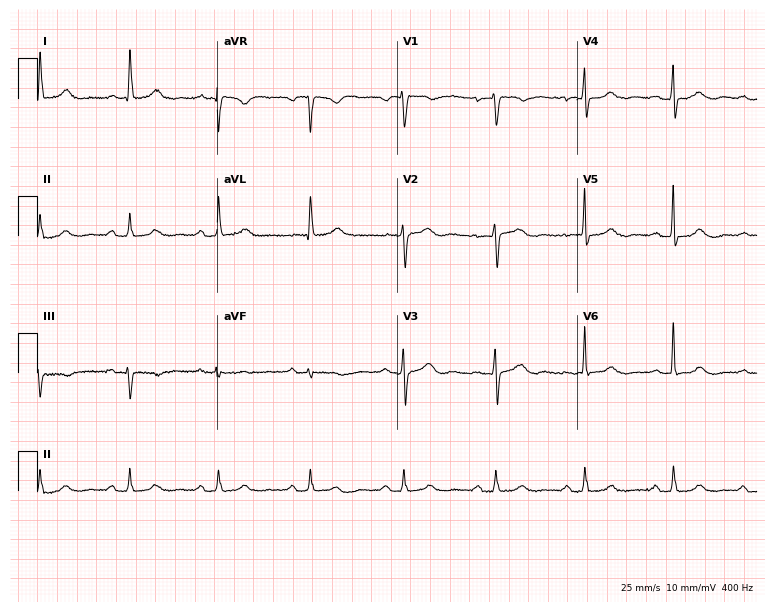
12-lead ECG from a woman, 69 years old. Recorded interpretation: within normal limits.